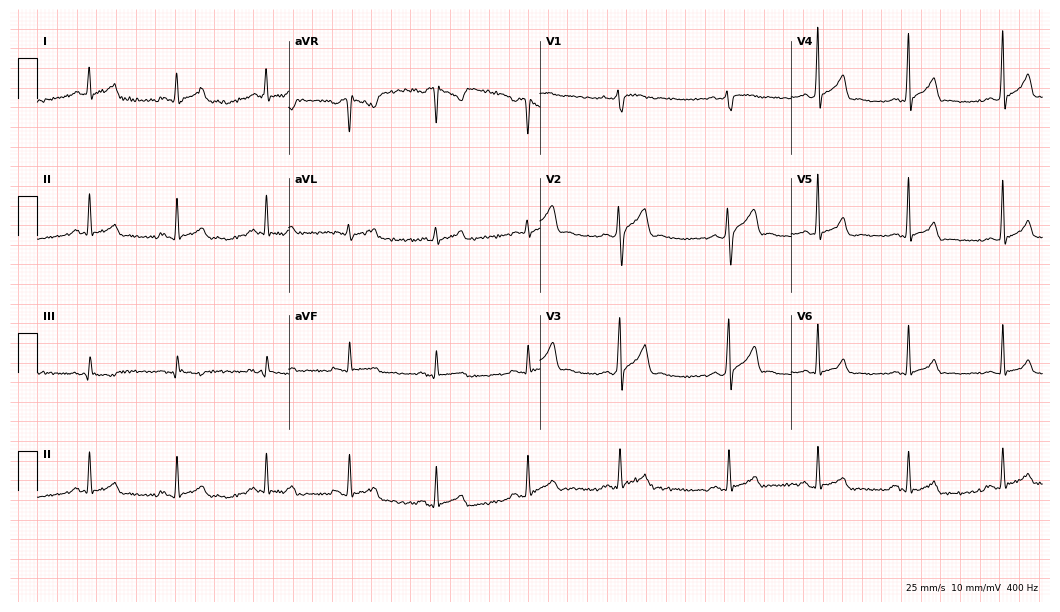
12-lead ECG (10.2-second recording at 400 Hz) from a man, 34 years old. Labelled as a normal ECG.